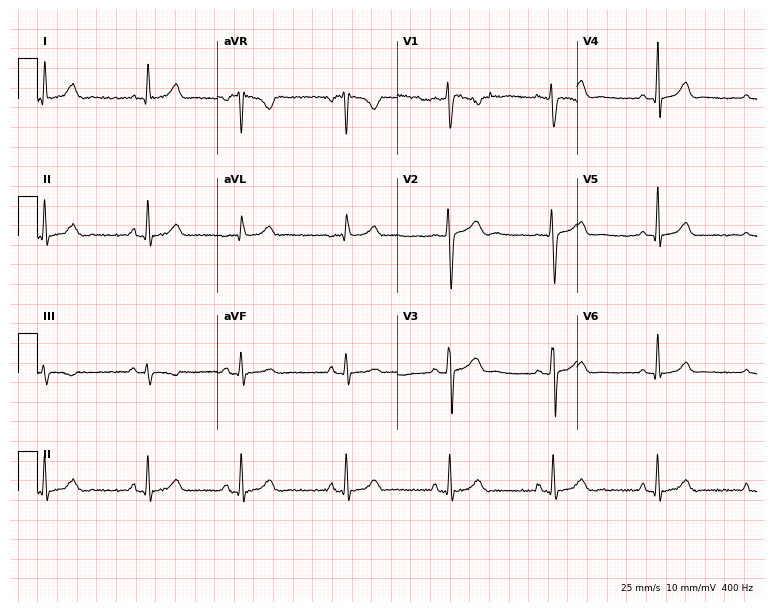
Standard 12-lead ECG recorded from a female patient, 21 years old. Read as a normal ECG.